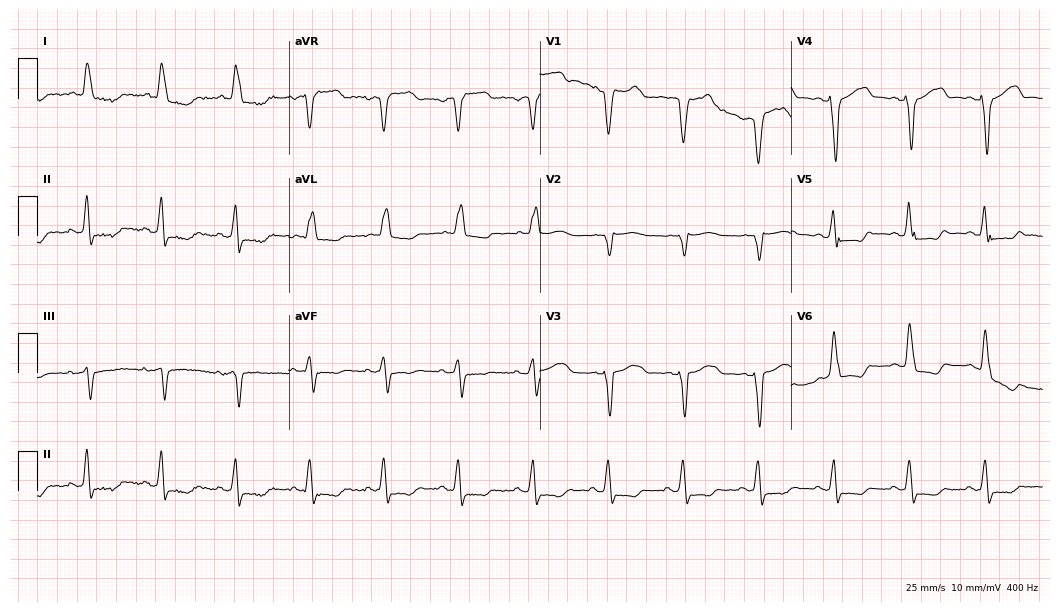
ECG — an 81-year-old female. Screened for six findings — first-degree AV block, right bundle branch block, left bundle branch block, sinus bradycardia, atrial fibrillation, sinus tachycardia — none is recorded. Findings outside these six are not listed.